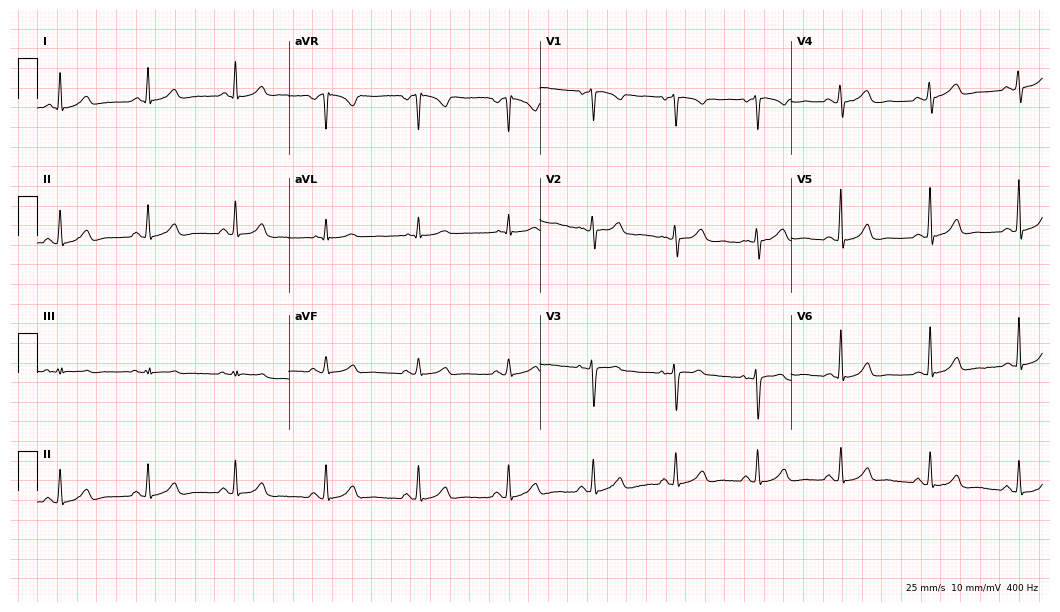
12-lead ECG (10.2-second recording at 400 Hz) from a 35-year-old woman. Labelled as a normal ECG.